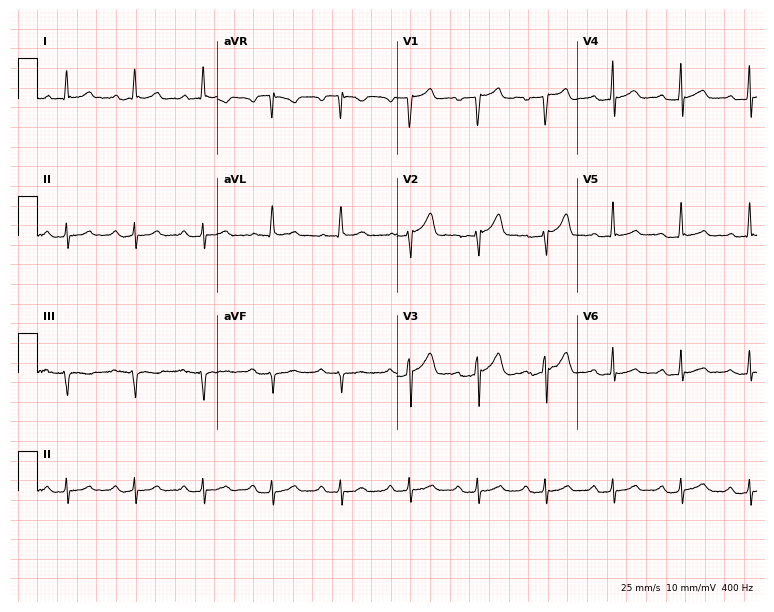
Electrocardiogram, a male, 52 years old. Overall reading on record: normal ECG.